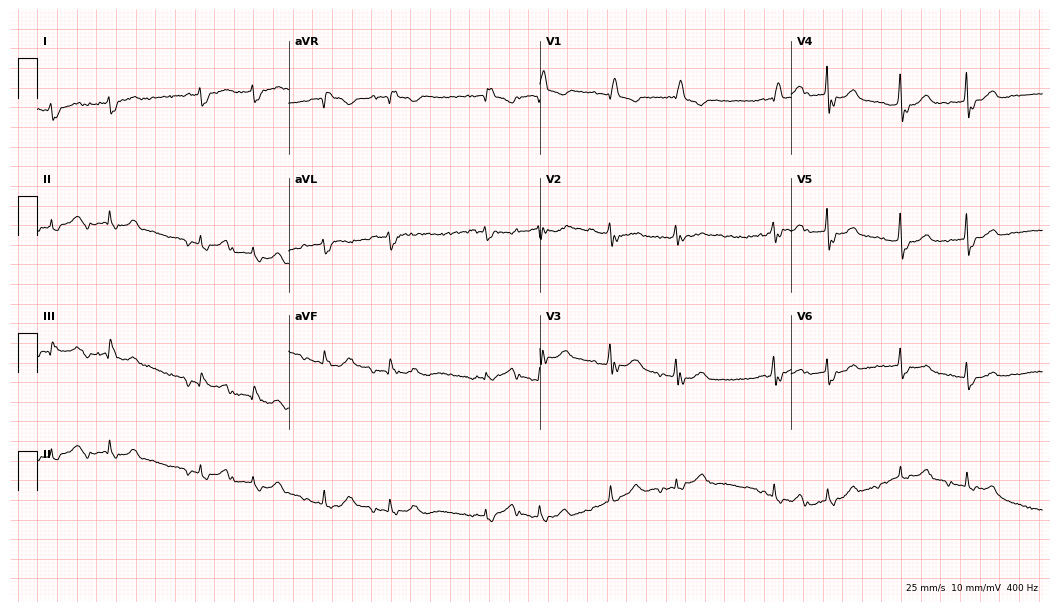
Standard 12-lead ECG recorded from an 85-year-old male patient (10.2-second recording at 400 Hz). The tracing shows right bundle branch block (RBBB), atrial fibrillation (AF).